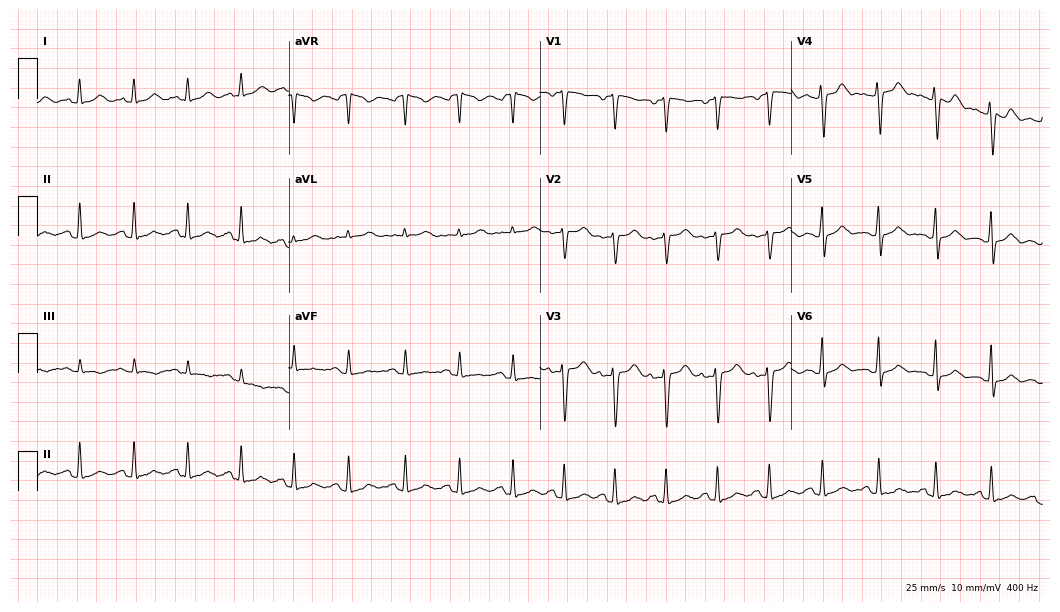
ECG (10.2-second recording at 400 Hz) — a woman, 26 years old. Findings include sinus tachycardia (a sinus rate of 100 beats per minute or more).